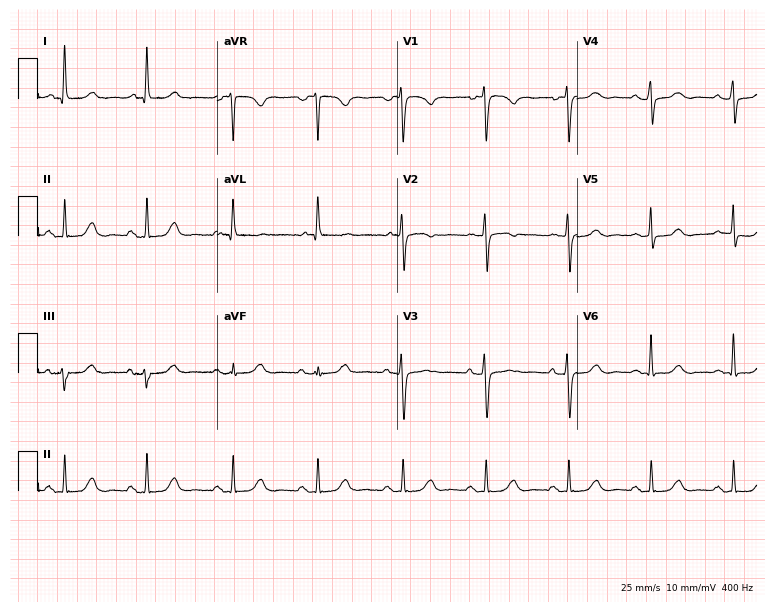
12-lead ECG (7.3-second recording at 400 Hz) from a 66-year-old female patient. Labelled as a normal ECG.